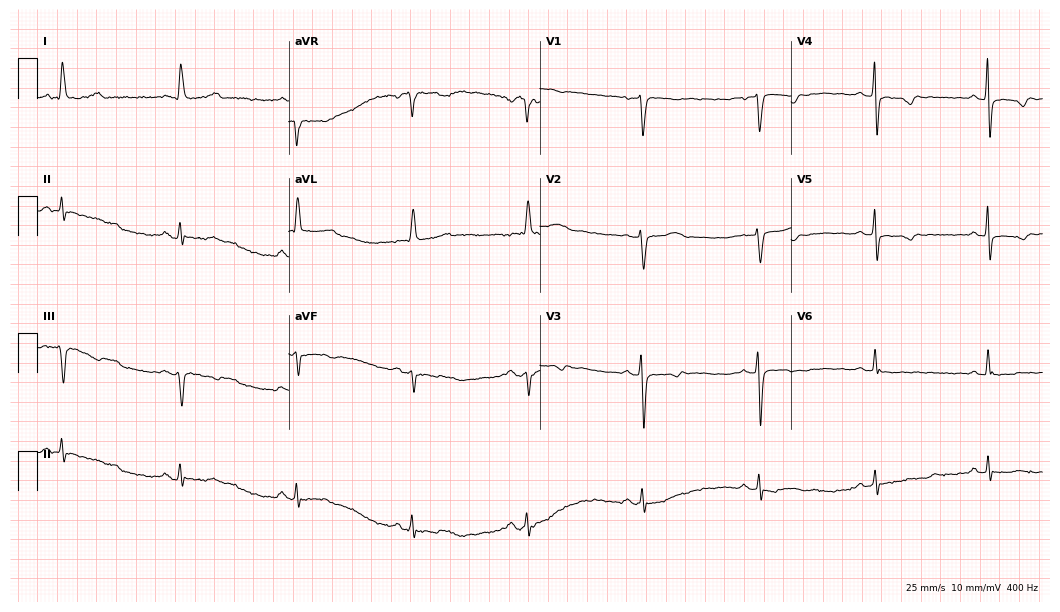
12-lead ECG (10.2-second recording at 400 Hz) from a 69-year-old female. Screened for six findings — first-degree AV block, right bundle branch block, left bundle branch block, sinus bradycardia, atrial fibrillation, sinus tachycardia — none is recorded.